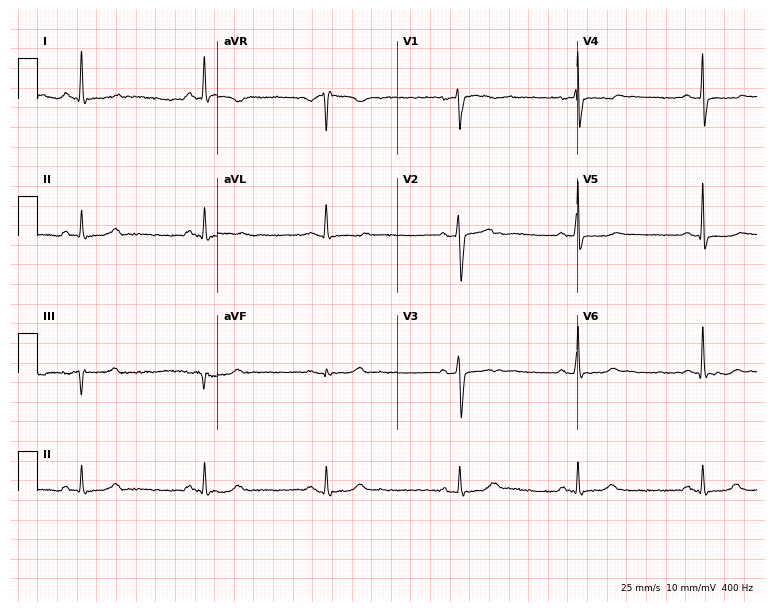
Resting 12-lead electrocardiogram. Patient: a female, 46 years old. None of these six findings is recorded: first-degree AV block, right bundle branch block (RBBB), left bundle branch block (LBBB), sinus bradycardia, atrial fibrillation (AF), sinus tachycardia. Findings outside these six are not listed.